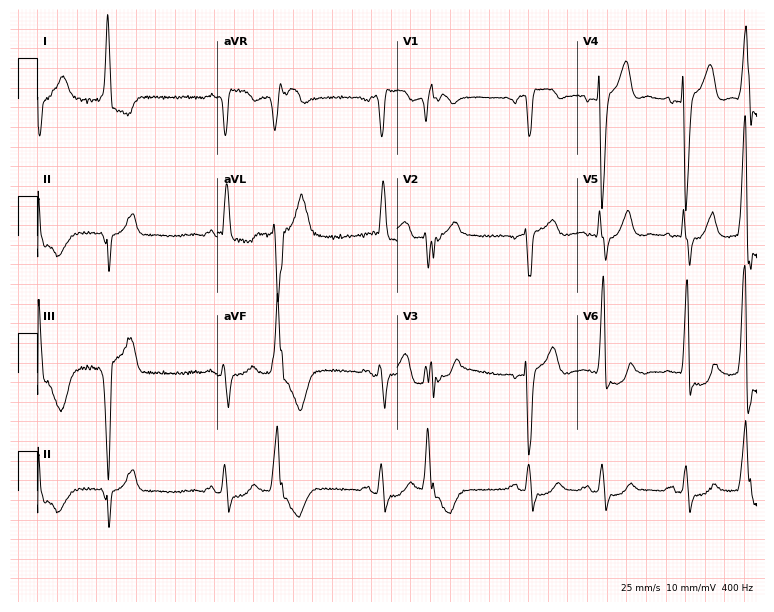
12-lead ECG from a female, 82 years old. Findings include left bundle branch block (LBBB).